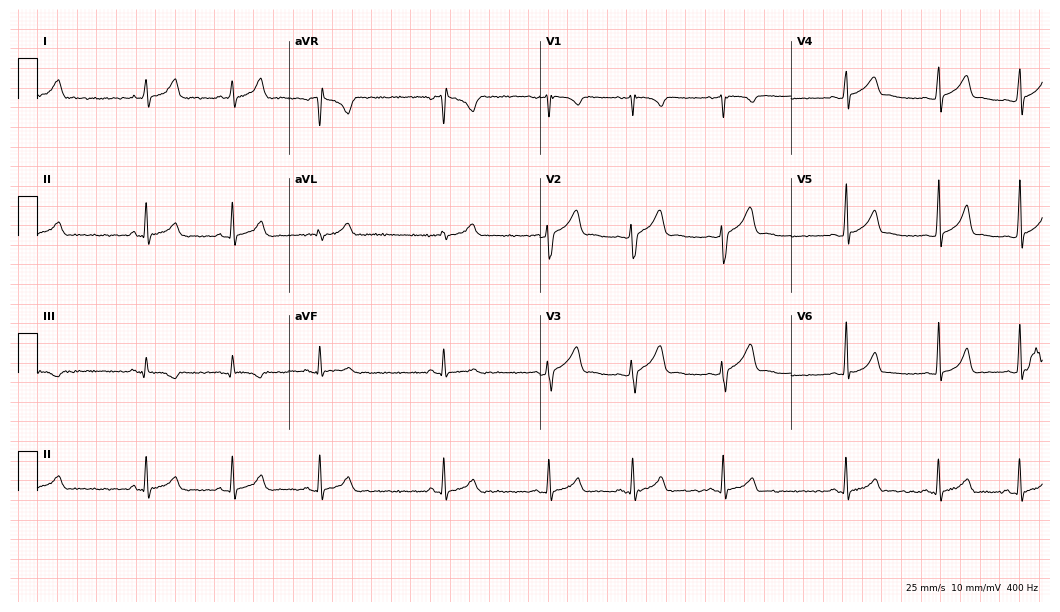
Standard 12-lead ECG recorded from a man, 22 years old. Read as a normal ECG.